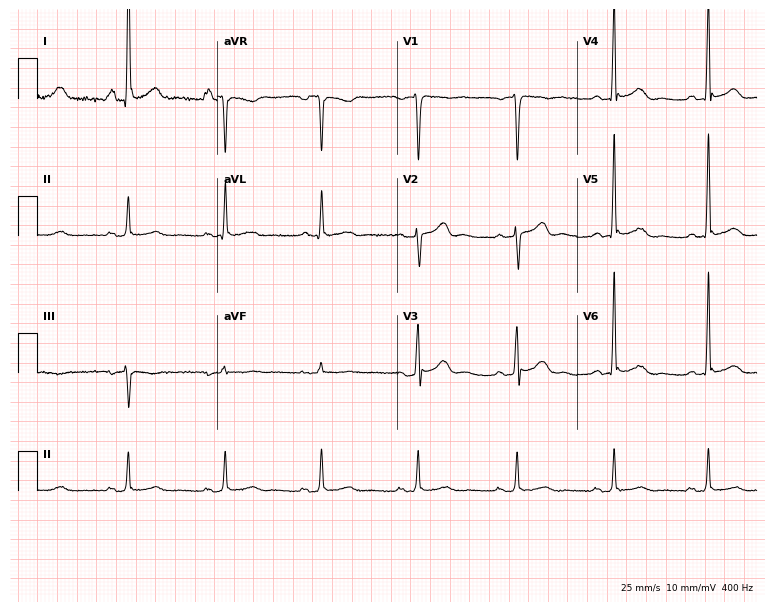
Standard 12-lead ECG recorded from a 45-year-old man. None of these six findings is recorded: first-degree AV block, right bundle branch block, left bundle branch block, sinus bradycardia, atrial fibrillation, sinus tachycardia. Findings outside these six are not listed.